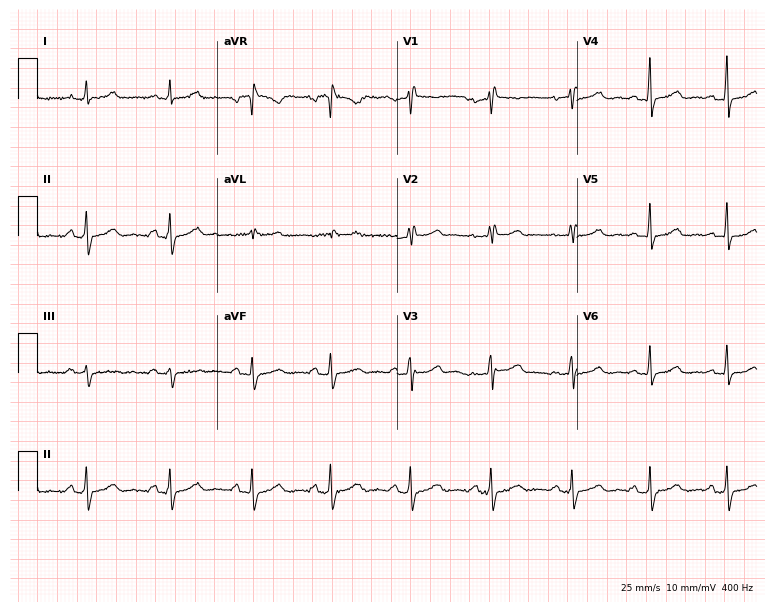
12-lead ECG (7.3-second recording at 400 Hz) from a female, 61 years old. Screened for six findings — first-degree AV block, right bundle branch block (RBBB), left bundle branch block (LBBB), sinus bradycardia, atrial fibrillation (AF), sinus tachycardia — none is recorded. Only these six findings were labelled.